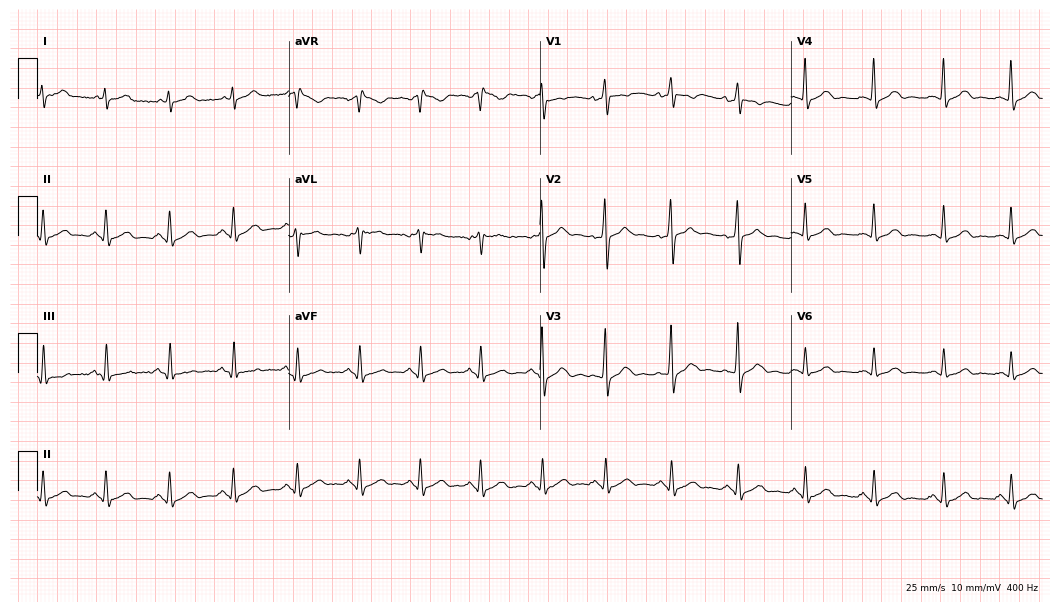
Electrocardiogram (10.2-second recording at 400 Hz), a male patient, 39 years old. Of the six screened findings (first-degree AV block, right bundle branch block, left bundle branch block, sinus bradycardia, atrial fibrillation, sinus tachycardia), none is recorded. Only these six findings were labelled.